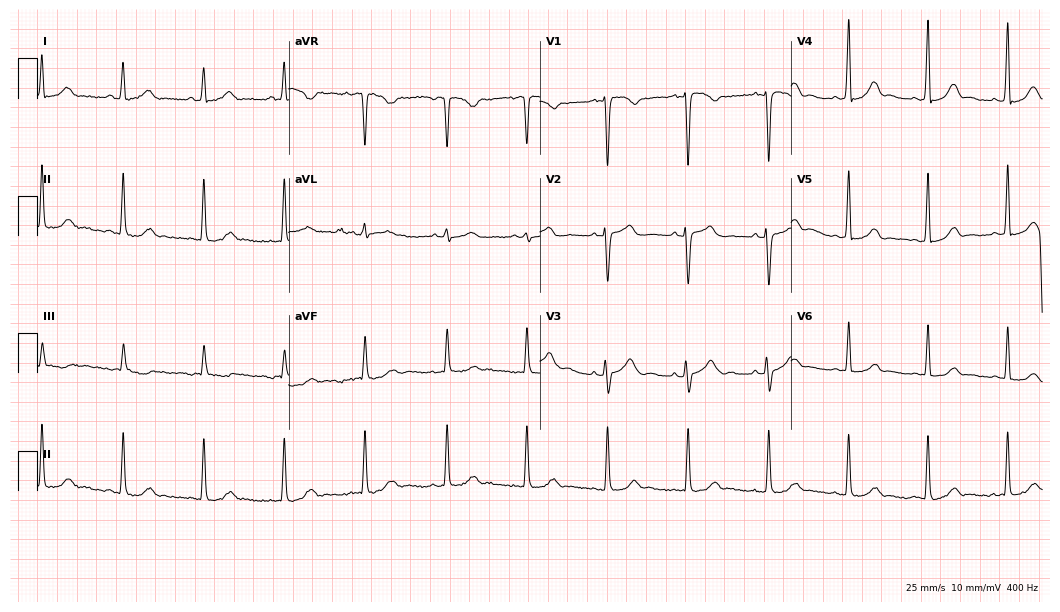
Resting 12-lead electrocardiogram. Patient: a 36-year-old female. None of these six findings is recorded: first-degree AV block, right bundle branch block, left bundle branch block, sinus bradycardia, atrial fibrillation, sinus tachycardia. Findings outside these six are not listed.